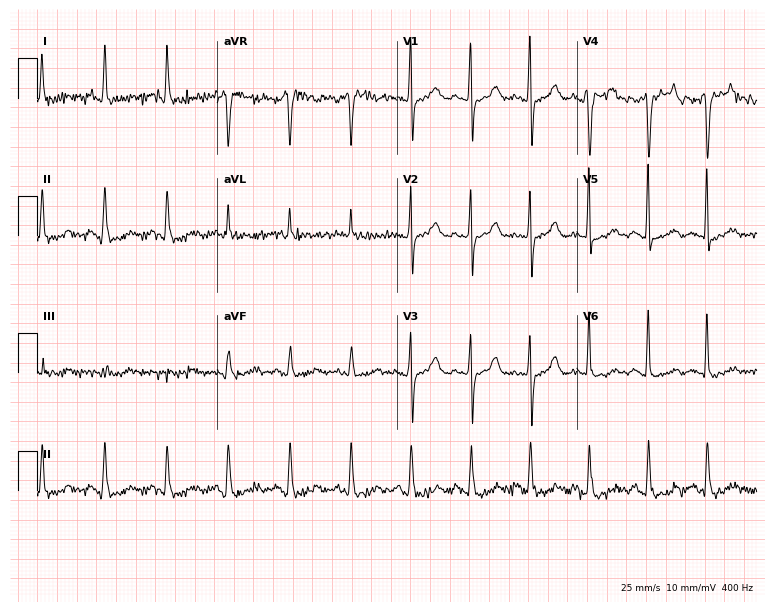
ECG (7.3-second recording at 400 Hz) — a 59-year-old woman. Screened for six findings — first-degree AV block, right bundle branch block, left bundle branch block, sinus bradycardia, atrial fibrillation, sinus tachycardia — none is recorded. Findings outside these six are not listed.